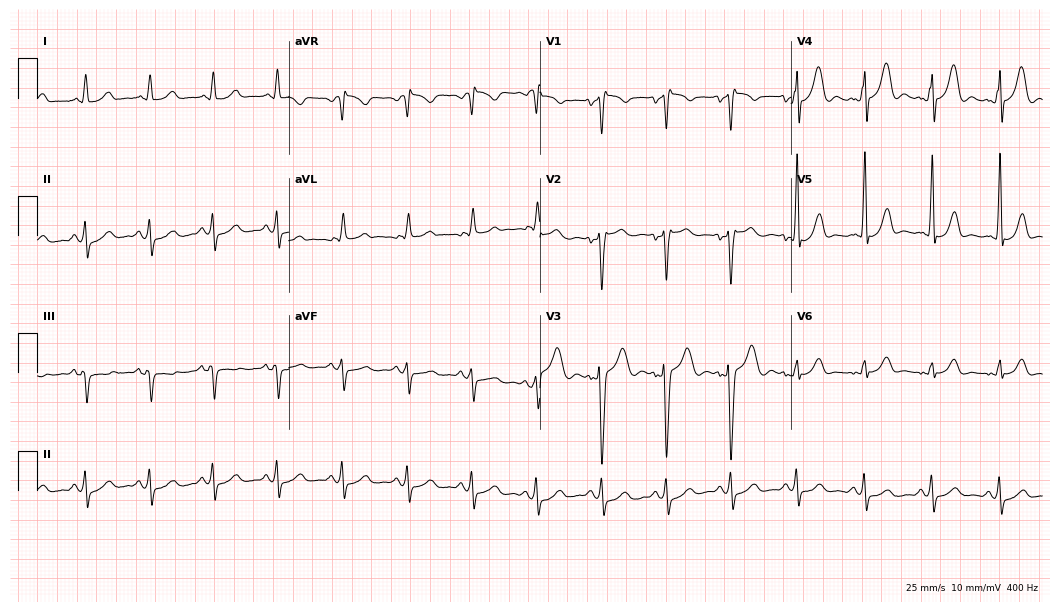
Electrocardiogram, a male patient, 32 years old. Overall reading on record: normal ECG.